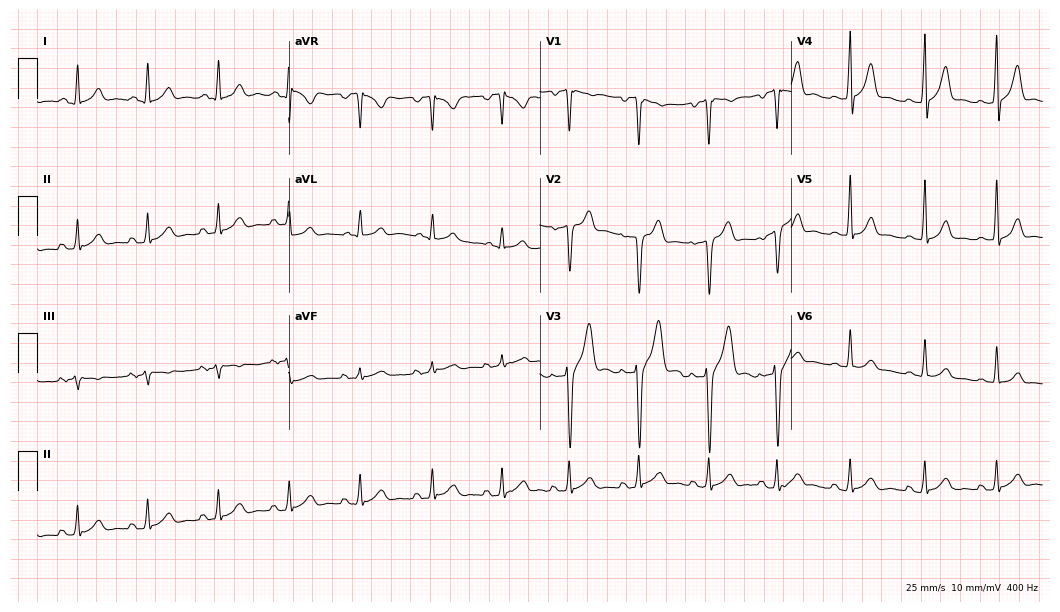
Resting 12-lead electrocardiogram. Patient: a 22-year-old male. None of these six findings is recorded: first-degree AV block, right bundle branch block, left bundle branch block, sinus bradycardia, atrial fibrillation, sinus tachycardia.